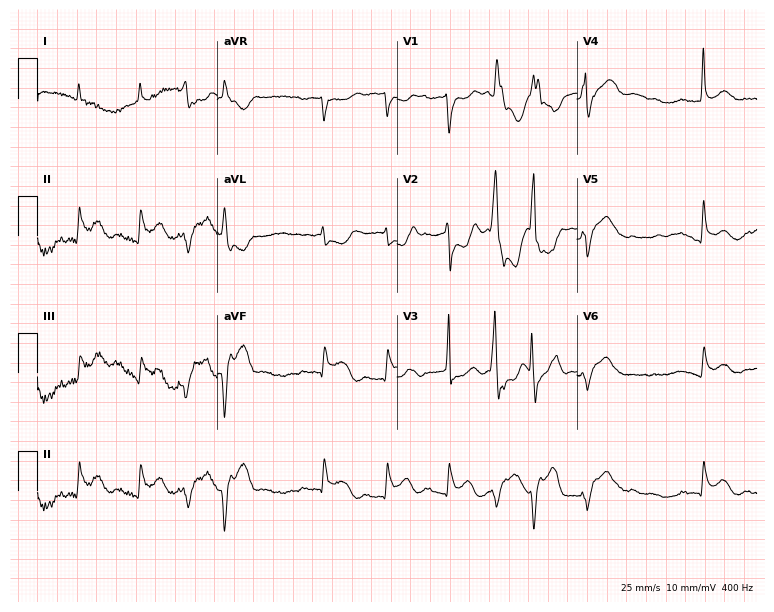
12-lead ECG (7.3-second recording at 400 Hz) from a 65-year-old male. Screened for six findings — first-degree AV block, right bundle branch block (RBBB), left bundle branch block (LBBB), sinus bradycardia, atrial fibrillation (AF), sinus tachycardia — none is recorded.